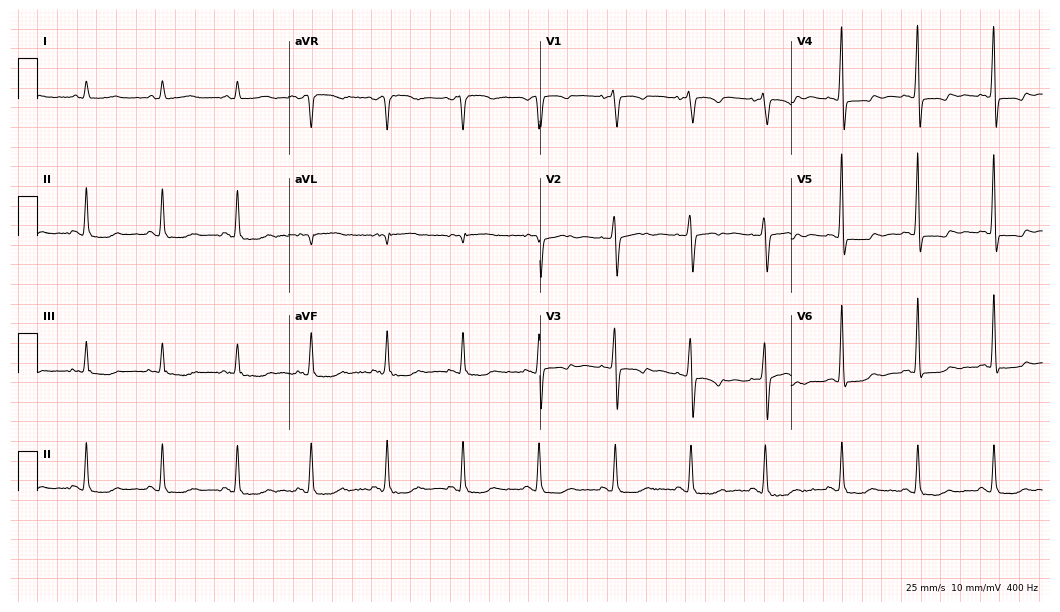
12-lead ECG (10.2-second recording at 400 Hz) from a 64-year-old woman. Screened for six findings — first-degree AV block, right bundle branch block, left bundle branch block, sinus bradycardia, atrial fibrillation, sinus tachycardia — none is recorded. Other findings, if any, are not listed.